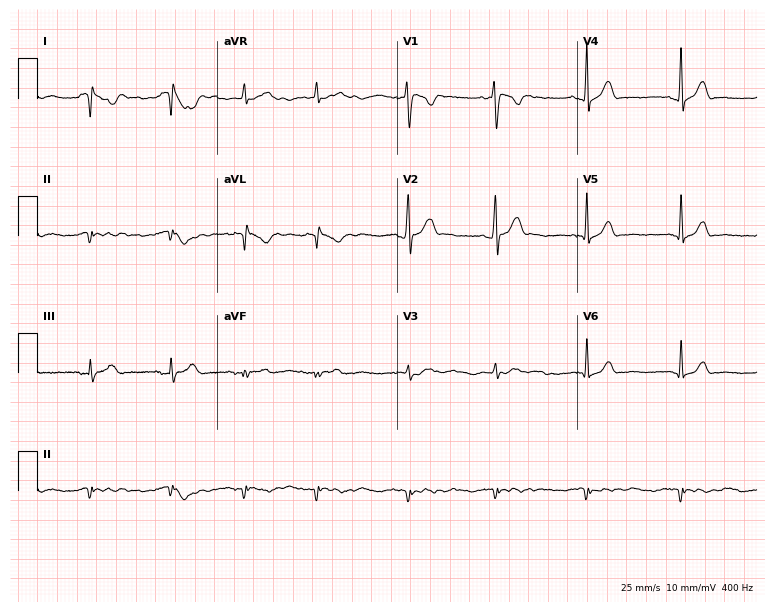
ECG (7.3-second recording at 400 Hz) — a 26-year-old man. Screened for six findings — first-degree AV block, right bundle branch block, left bundle branch block, sinus bradycardia, atrial fibrillation, sinus tachycardia — none is recorded.